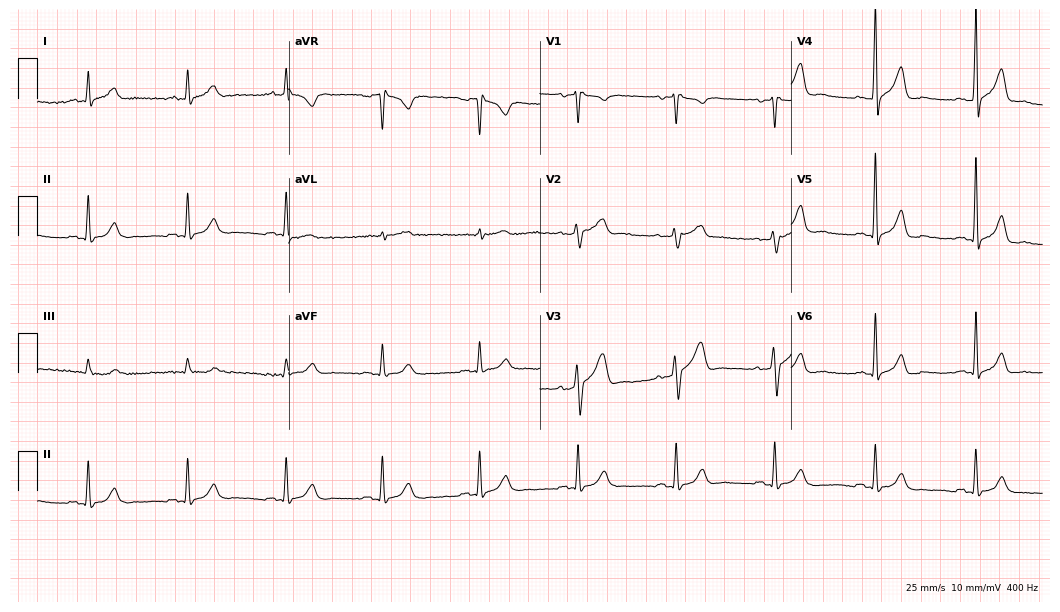
Resting 12-lead electrocardiogram. Patient: a 58-year-old man. Read as a normal ECG.